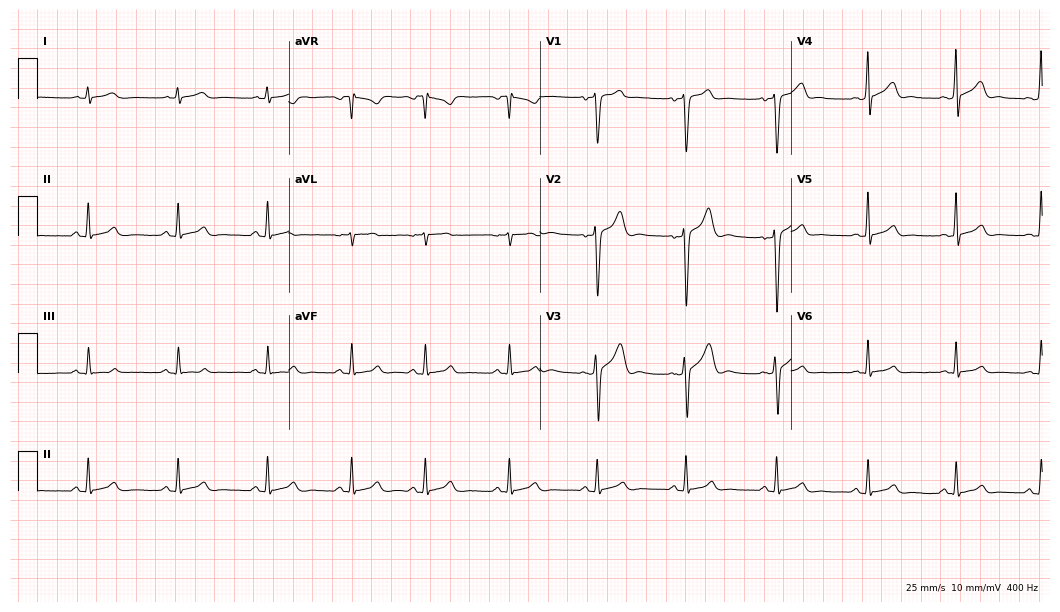
Resting 12-lead electrocardiogram. Patient: a 24-year-old male. Read as a normal ECG.